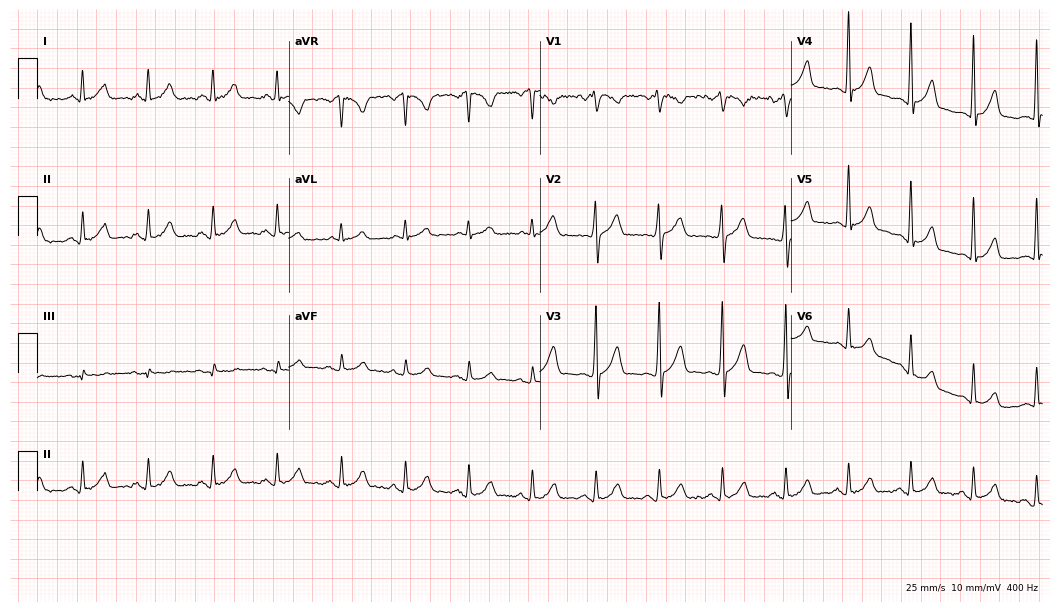
12-lead ECG (10.2-second recording at 400 Hz) from a male patient, 40 years old. Screened for six findings — first-degree AV block, right bundle branch block, left bundle branch block, sinus bradycardia, atrial fibrillation, sinus tachycardia — none is recorded.